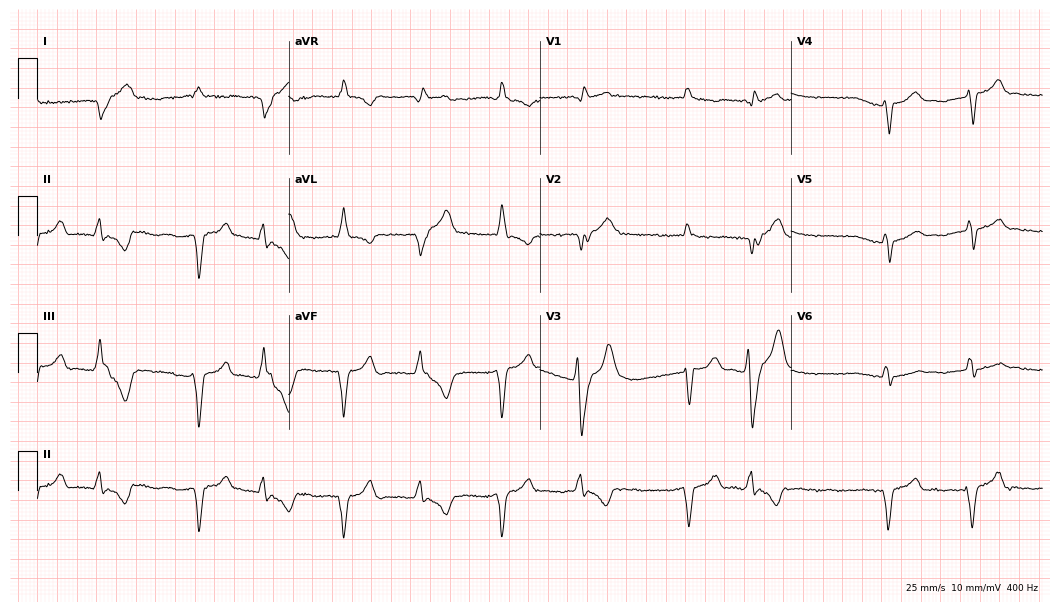
12-lead ECG from a 67-year-old man. Screened for six findings — first-degree AV block, right bundle branch block, left bundle branch block, sinus bradycardia, atrial fibrillation, sinus tachycardia — none is recorded.